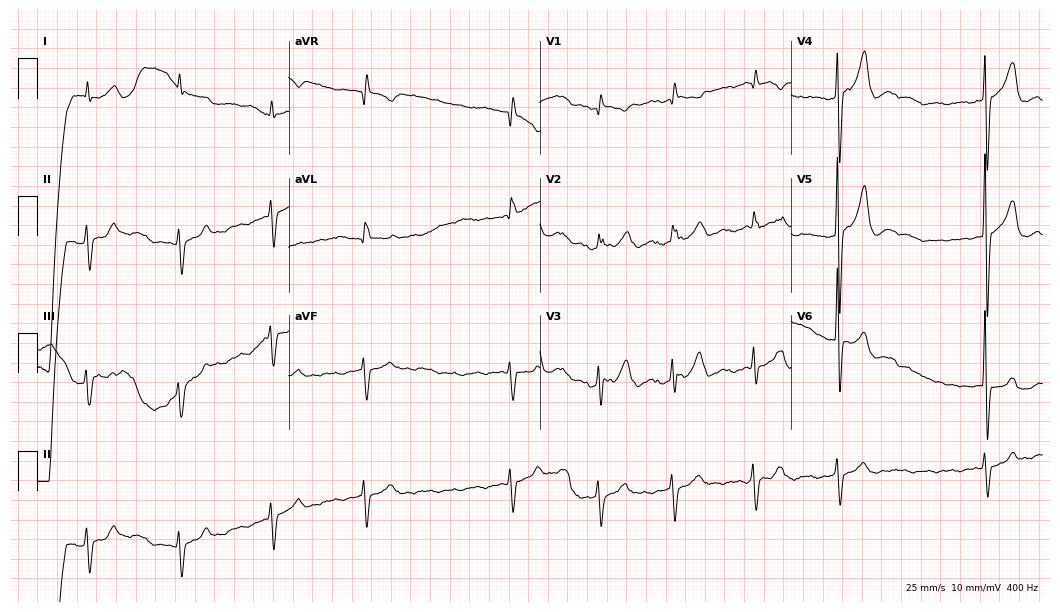
ECG (10.2-second recording at 400 Hz) — a 78-year-old man. Findings include atrial fibrillation.